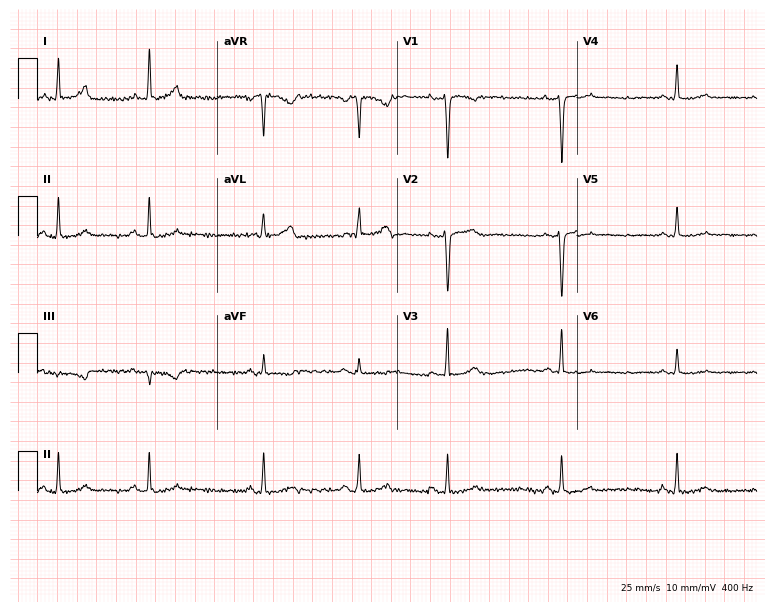
ECG (7.3-second recording at 400 Hz) — a 45-year-old woman. Screened for six findings — first-degree AV block, right bundle branch block, left bundle branch block, sinus bradycardia, atrial fibrillation, sinus tachycardia — none is recorded. Other findings, if any, are not listed.